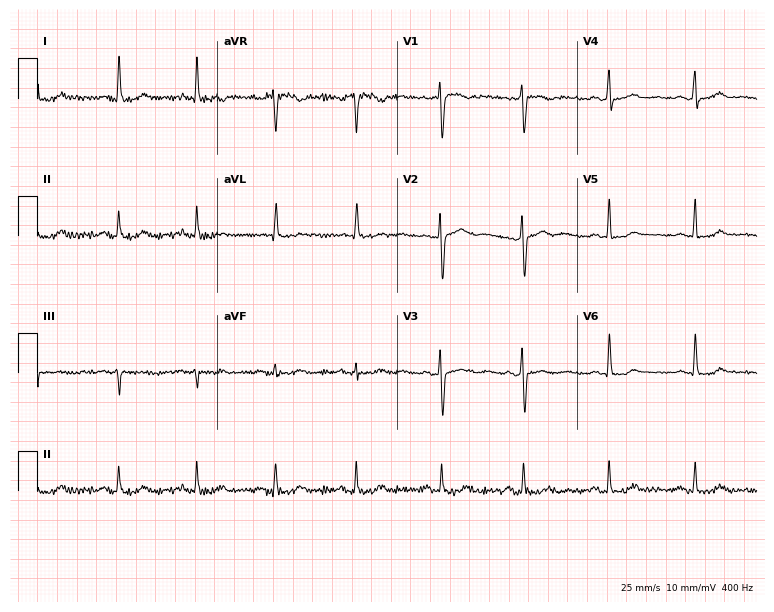
12-lead ECG from a female, 54 years old. Recorded interpretation: within normal limits.